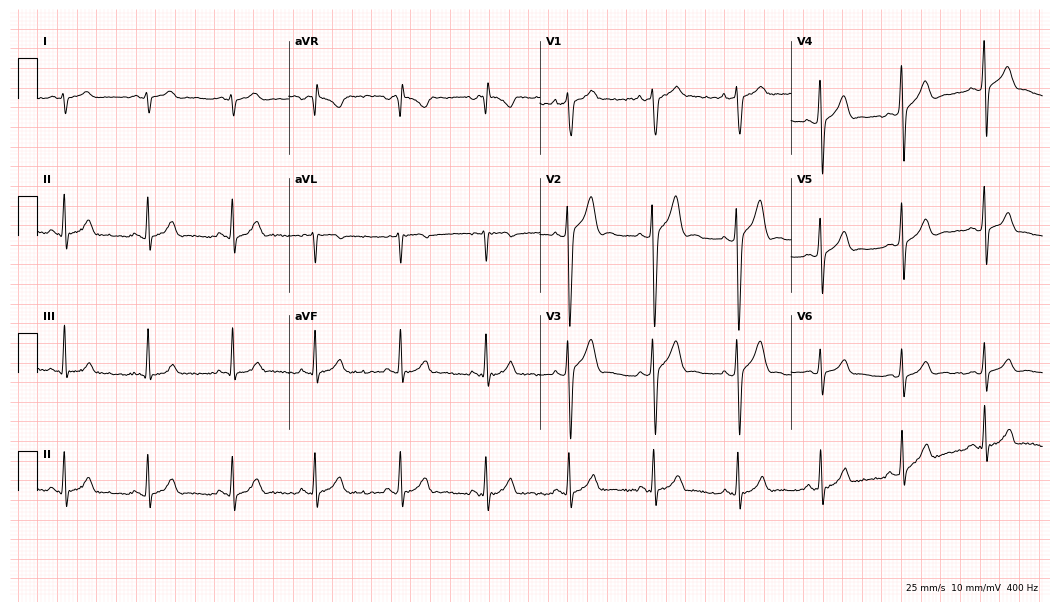
Resting 12-lead electrocardiogram (10.2-second recording at 400 Hz). Patient: a male, 28 years old. None of these six findings is recorded: first-degree AV block, right bundle branch block, left bundle branch block, sinus bradycardia, atrial fibrillation, sinus tachycardia. Only these six findings were labelled.